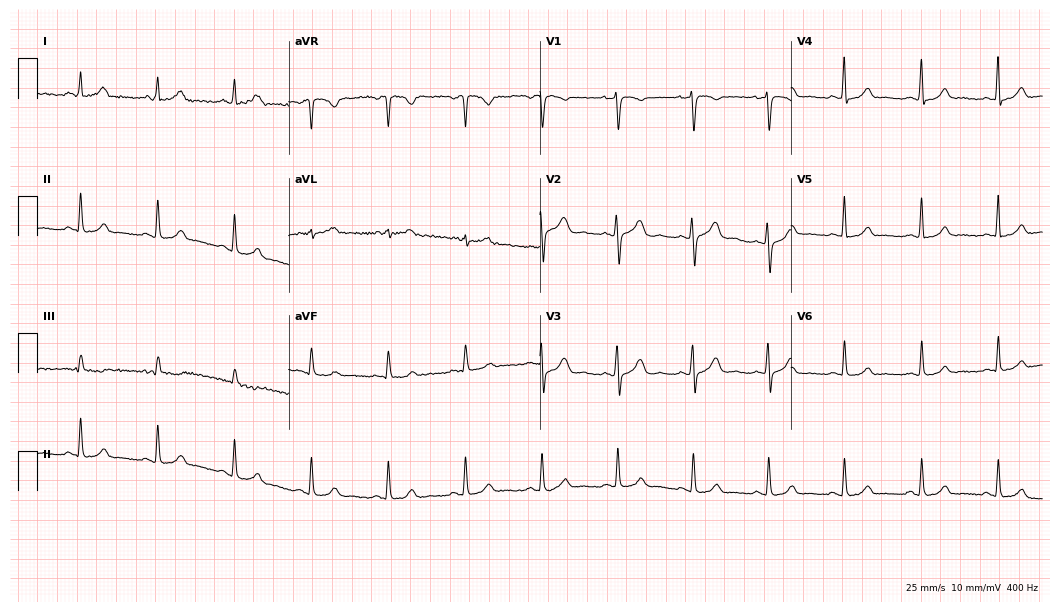
Resting 12-lead electrocardiogram. Patient: a 34-year-old female. Read as a normal ECG.